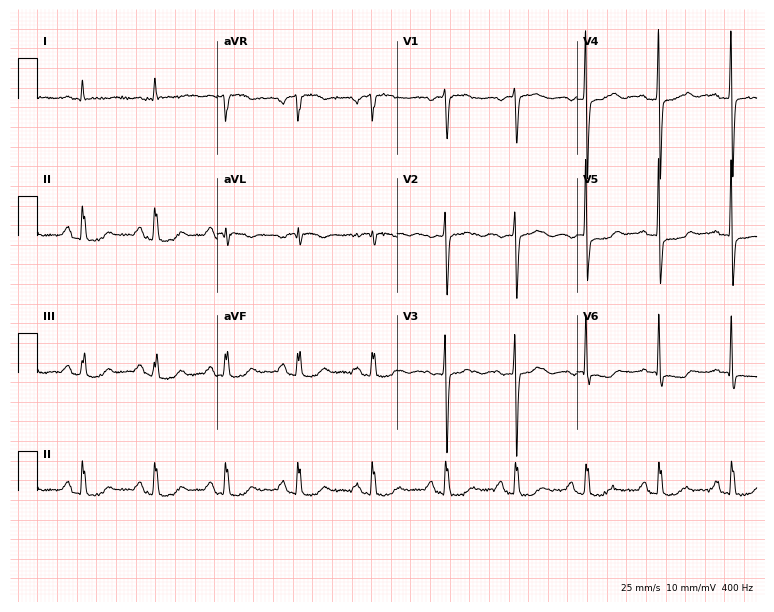
12-lead ECG from a woman, 74 years old (7.3-second recording at 400 Hz). No first-degree AV block, right bundle branch block, left bundle branch block, sinus bradycardia, atrial fibrillation or sinus tachycardia recorded for this tracing.